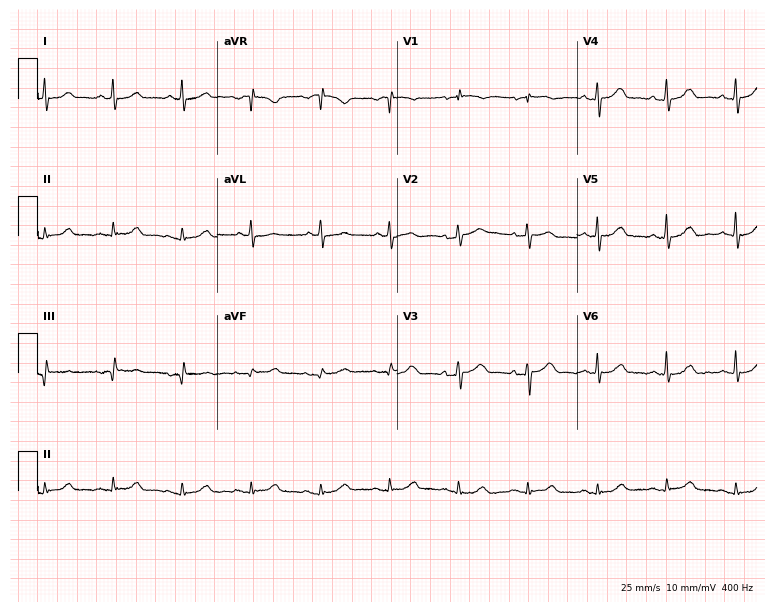
12-lead ECG from an 83-year-old man. No first-degree AV block, right bundle branch block, left bundle branch block, sinus bradycardia, atrial fibrillation or sinus tachycardia recorded for this tracing.